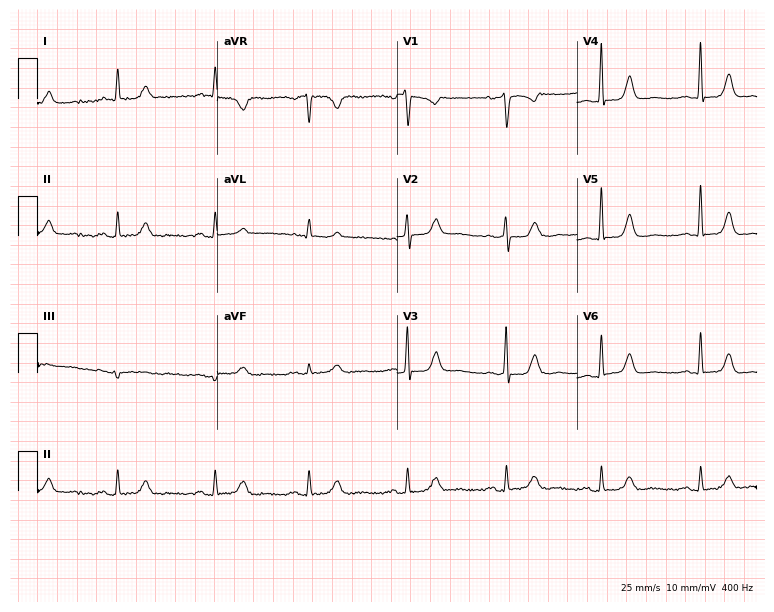
Electrocardiogram, a female patient, 46 years old. Of the six screened findings (first-degree AV block, right bundle branch block, left bundle branch block, sinus bradycardia, atrial fibrillation, sinus tachycardia), none is recorded. Findings outside these six are not listed.